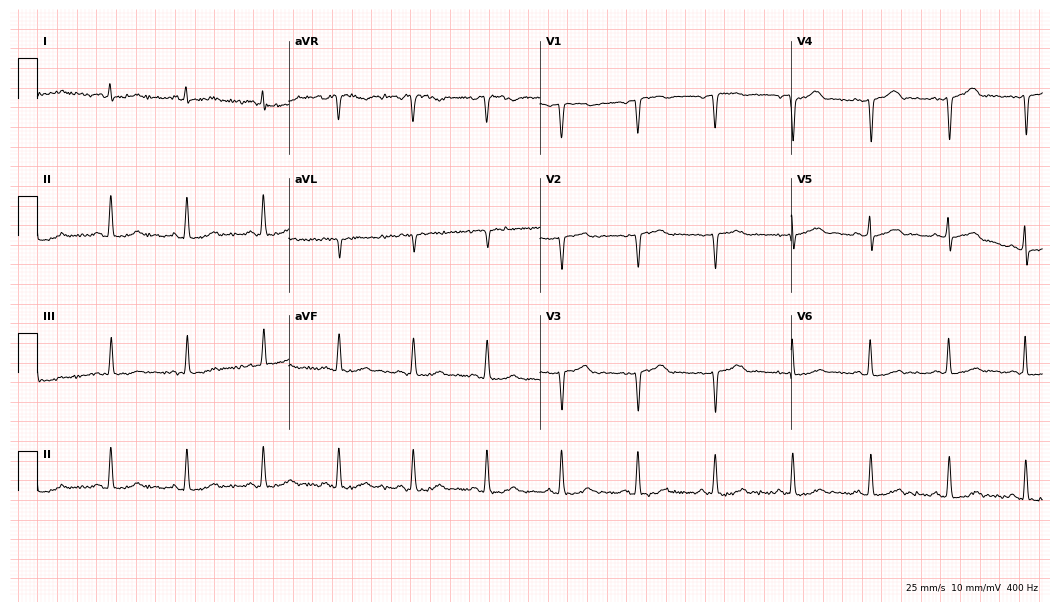
ECG — a female, 55 years old. Screened for six findings — first-degree AV block, right bundle branch block, left bundle branch block, sinus bradycardia, atrial fibrillation, sinus tachycardia — none is recorded.